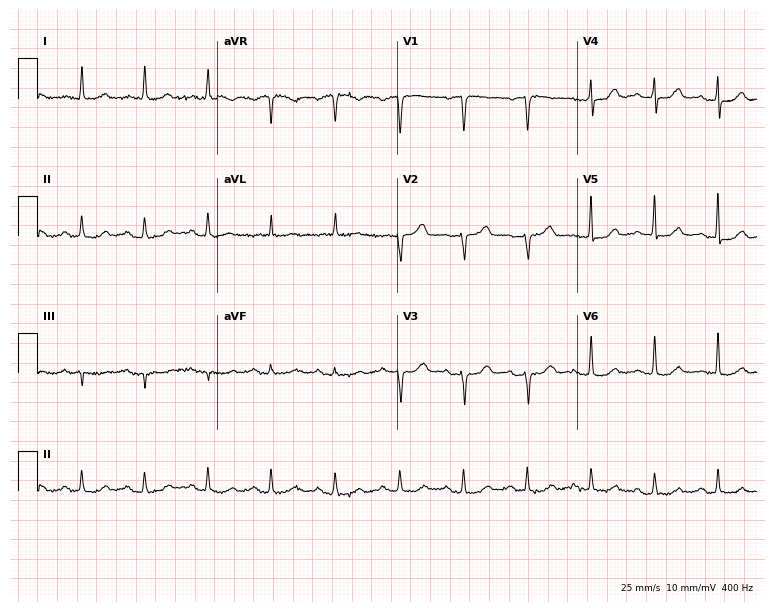
12-lead ECG from a female patient, 82 years old. No first-degree AV block, right bundle branch block, left bundle branch block, sinus bradycardia, atrial fibrillation or sinus tachycardia recorded for this tracing.